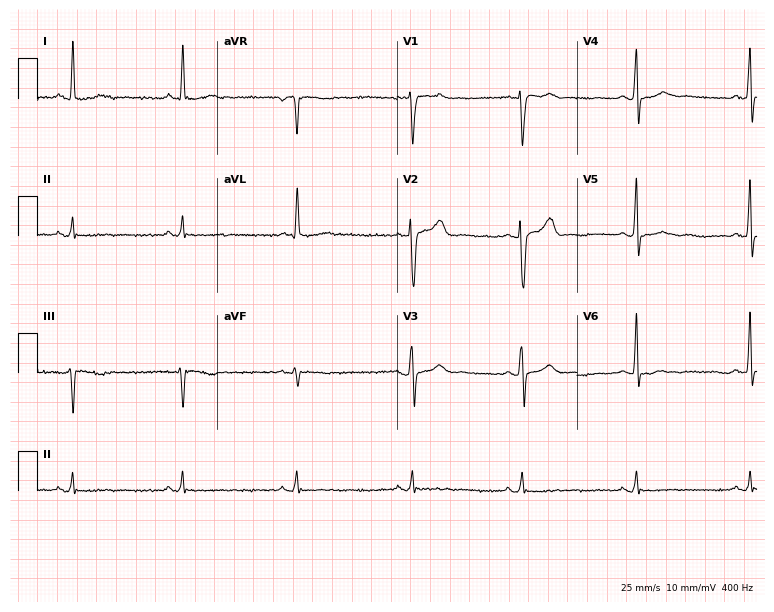
Standard 12-lead ECG recorded from a 60-year-old woman. None of these six findings is recorded: first-degree AV block, right bundle branch block, left bundle branch block, sinus bradycardia, atrial fibrillation, sinus tachycardia. Only these six findings were labelled.